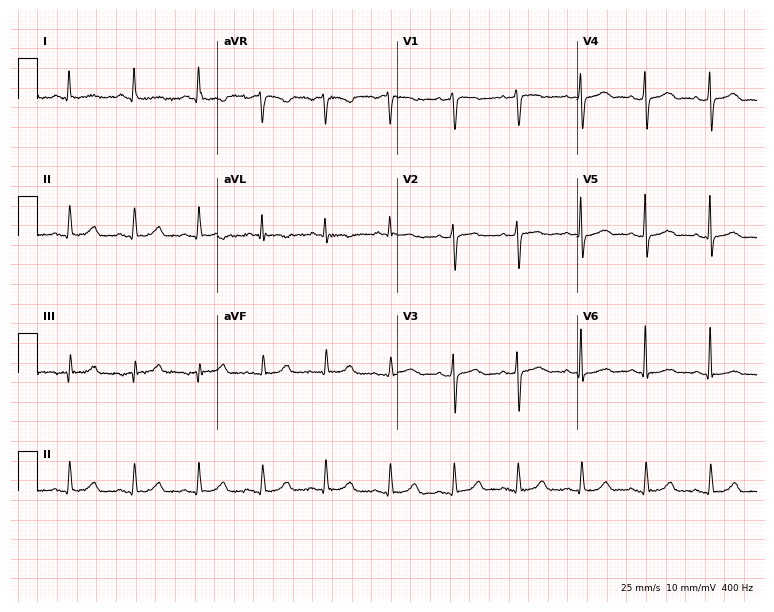
Resting 12-lead electrocardiogram. Patient: a female, 63 years old. None of these six findings is recorded: first-degree AV block, right bundle branch block, left bundle branch block, sinus bradycardia, atrial fibrillation, sinus tachycardia. Only these six findings were labelled.